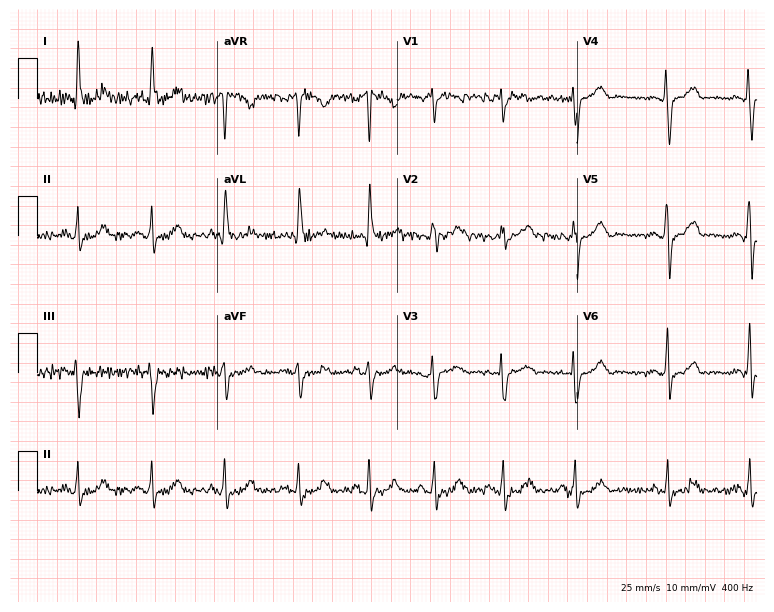
Resting 12-lead electrocardiogram. Patient: a 70-year-old female. None of these six findings is recorded: first-degree AV block, right bundle branch block (RBBB), left bundle branch block (LBBB), sinus bradycardia, atrial fibrillation (AF), sinus tachycardia.